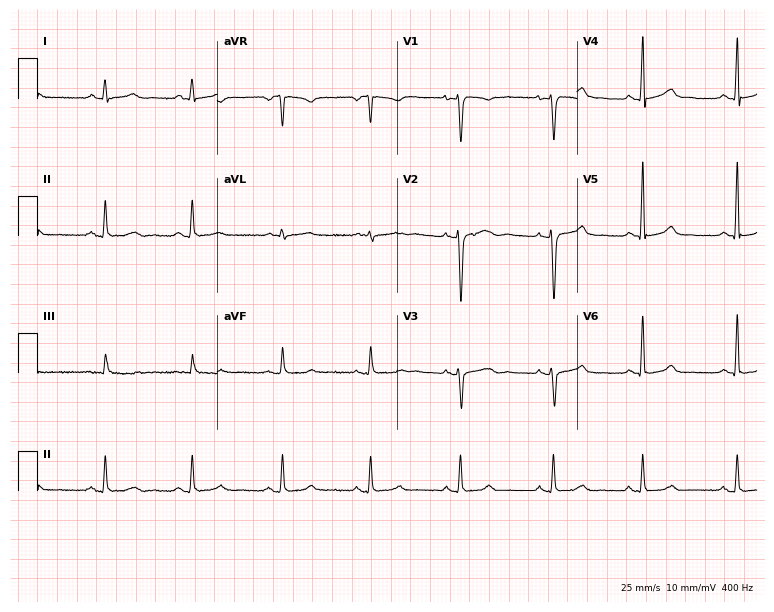
ECG (7.3-second recording at 400 Hz) — a 37-year-old female patient. Labelled as a normal ECG.